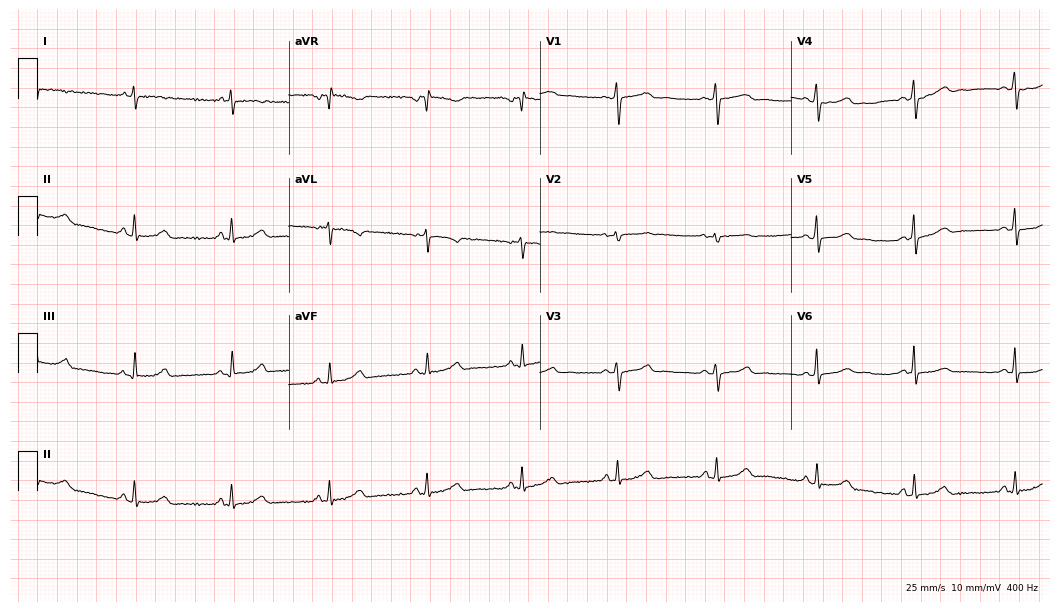
Electrocardiogram, a 41-year-old female. Of the six screened findings (first-degree AV block, right bundle branch block, left bundle branch block, sinus bradycardia, atrial fibrillation, sinus tachycardia), none is recorded.